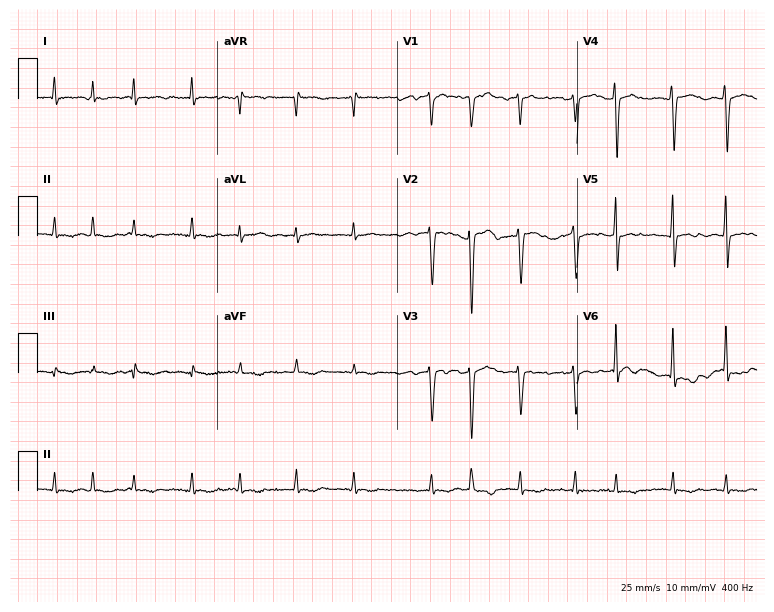
12-lead ECG from a woman, 81 years old. Shows atrial fibrillation.